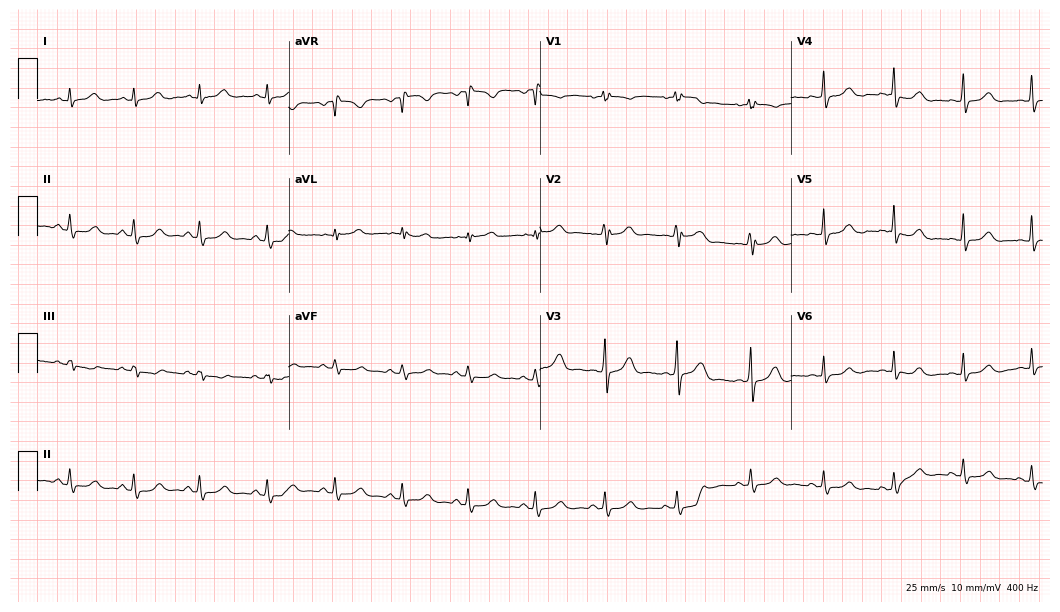
Standard 12-lead ECG recorded from a female patient, 33 years old (10.2-second recording at 400 Hz). Read as a normal ECG.